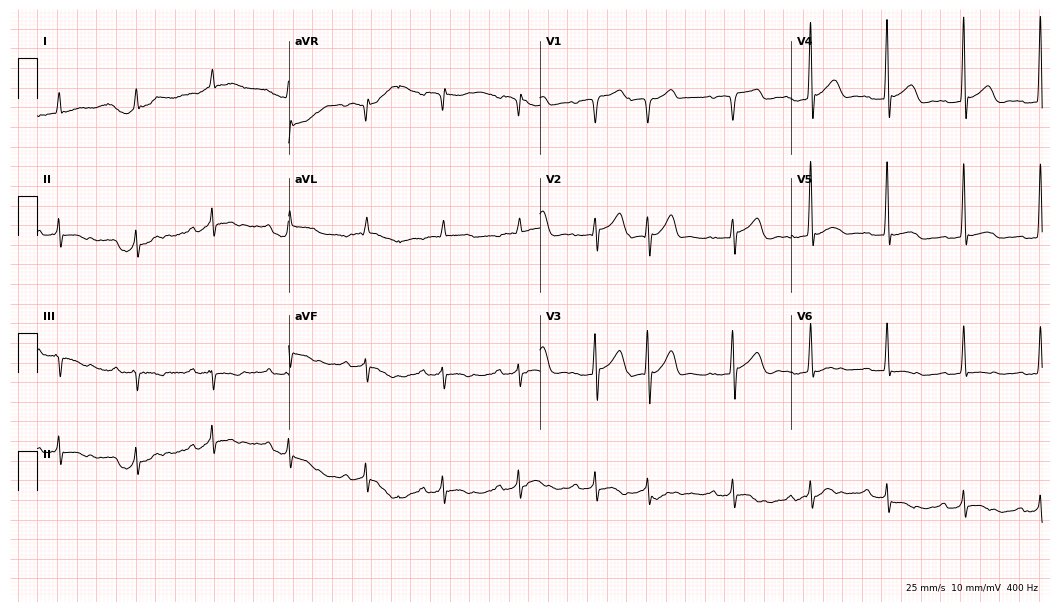
Standard 12-lead ECG recorded from a man, 83 years old (10.2-second recording at 400 Hz). The tracing shows first-degree AV block.